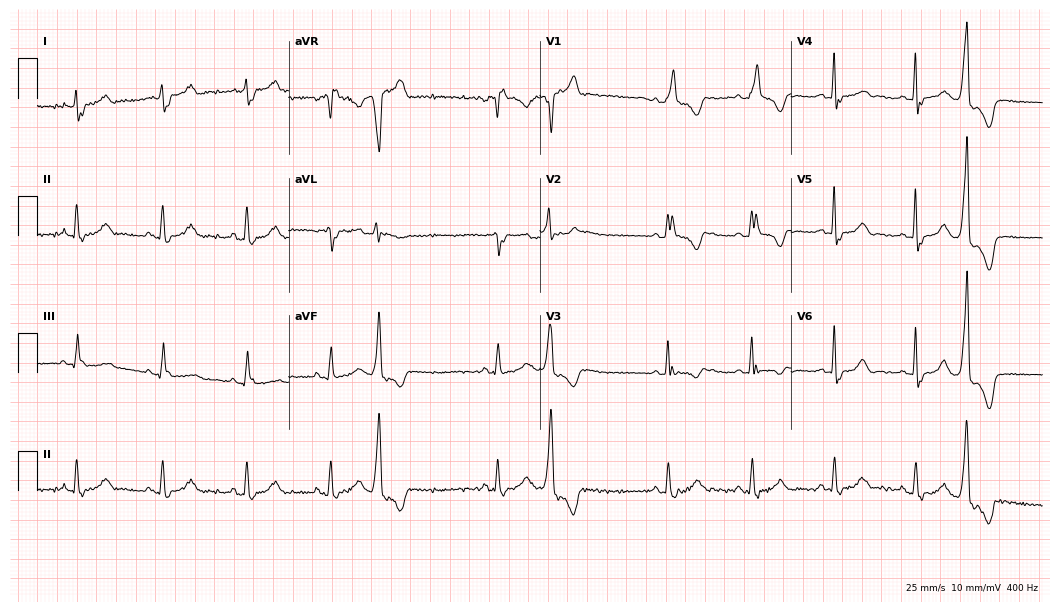
12-lead ECG from a 64-year-old female patient. Shows right bundle branch block (RBBB).